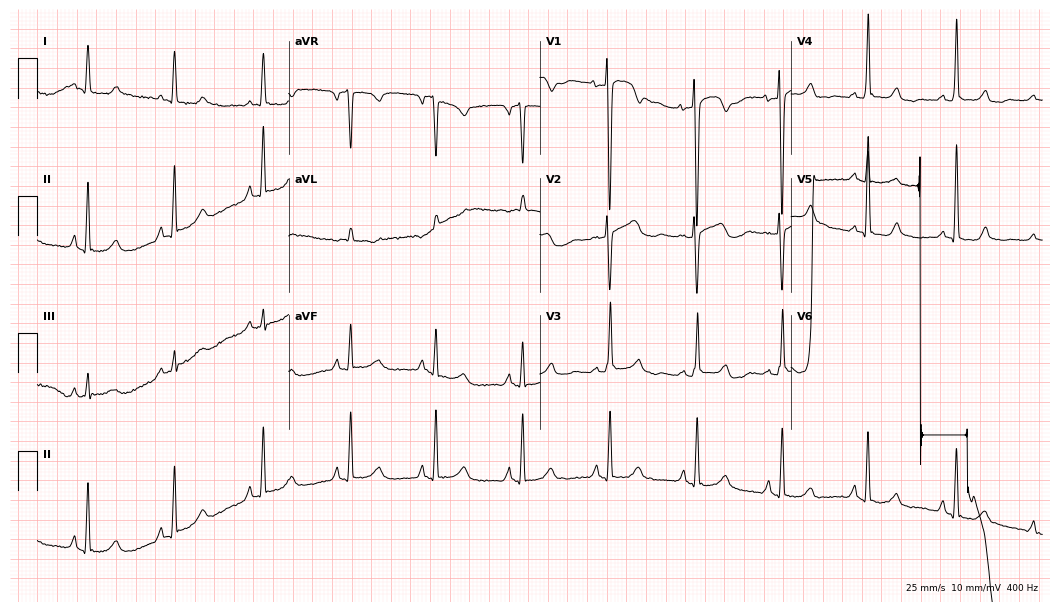
Electrocardiogram, a woman, 74 years old. Of the six screened findings (first-degree AV block, right bundle branch block, left bundle branch block, sinus bradycardia, atrial fibrillation, sinus tachycardia), none is recorded. Other findings, if any, are not listed.